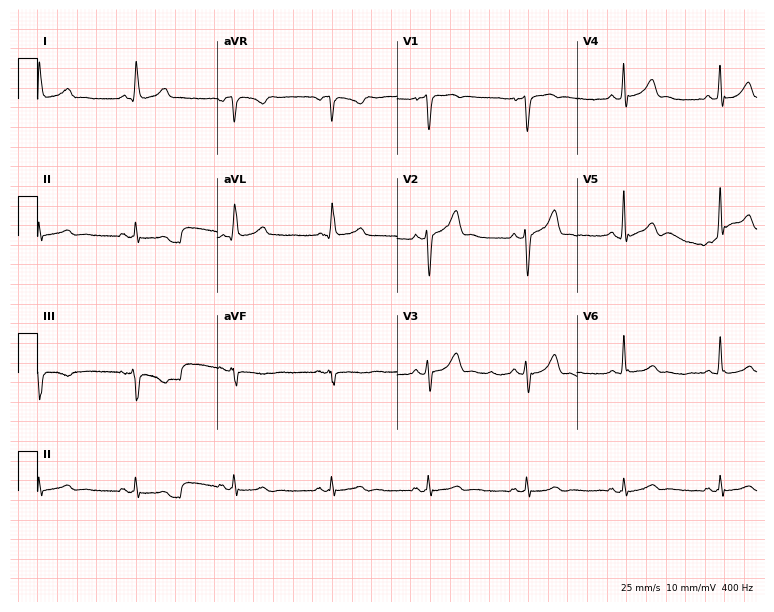
Electrocardiogram, a 38-year-old male patient. Of the six screened findings (first-degree AV block, right bundle branch block, left bundle branch block, sinus bradycardia, atrial fibrillation, sinus tachycardia), none is recorded. Other findings, if any, are not listed.